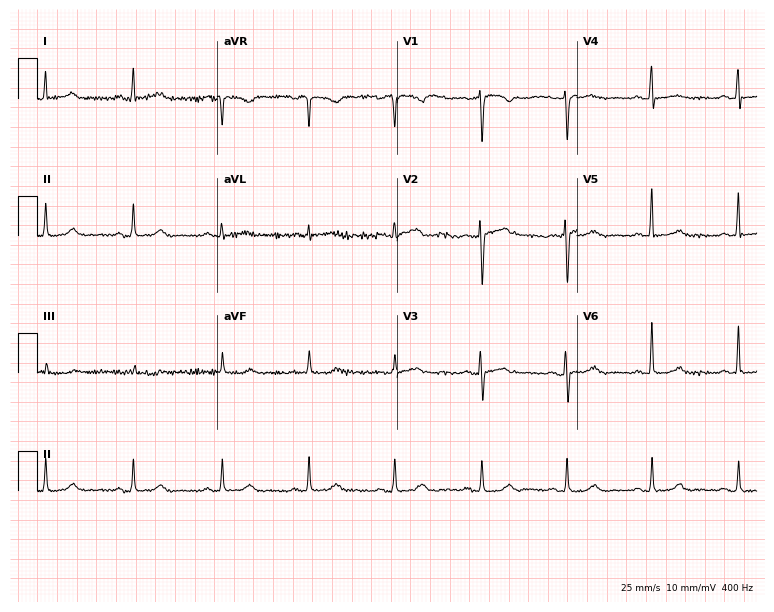
Resting 12-lead electrocardiogram. Patient: a 53-year-old female. None of these six findings is recorded: first-degree AV block, right bundle branch block, left bundle branch block, sinus bradycardia, atrial fibrillation, sinus tachycardia. Findings outside these six are not listed.